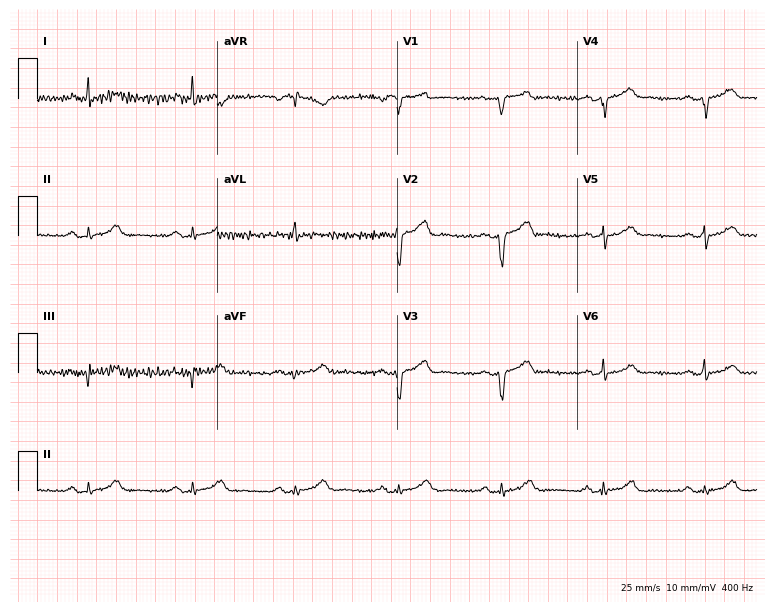
12-lead ECG from a male patient, 59 years old (7.3-second recording at 400 Hz). No first-degree AV block, right bundle branch block (RBBB), left bundle branch block (LBBB), sinus bradycardia, atrial fibrillation (AF) or sinus tachycardia recorded for this tracing. Other findings, if any, are not listed.